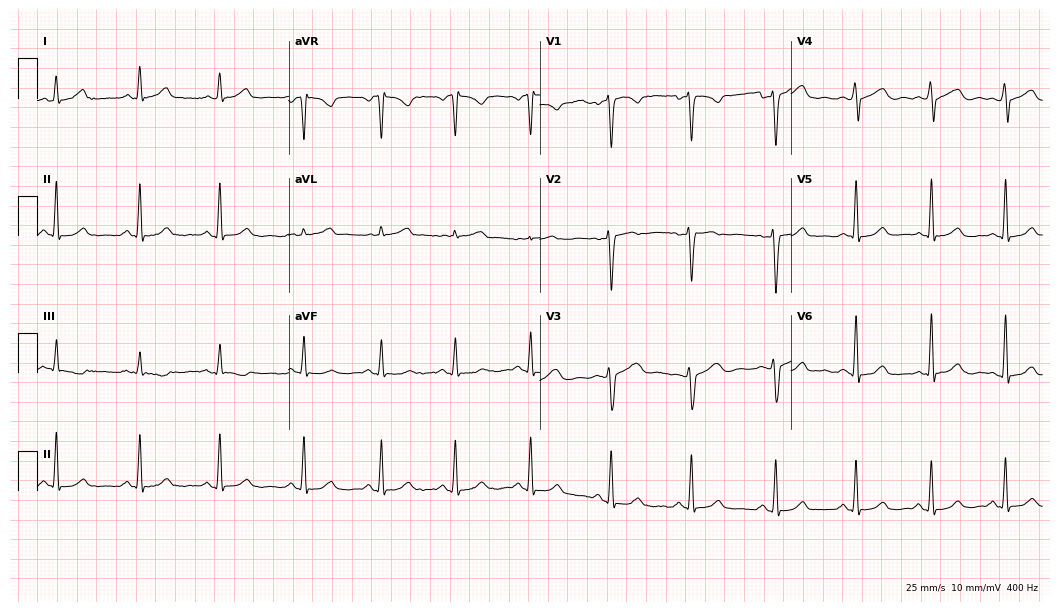
Electrocardiogram (10.2-second recording at 400 Hz), a female, 37 years old. Overall reading on record: normal ECG.